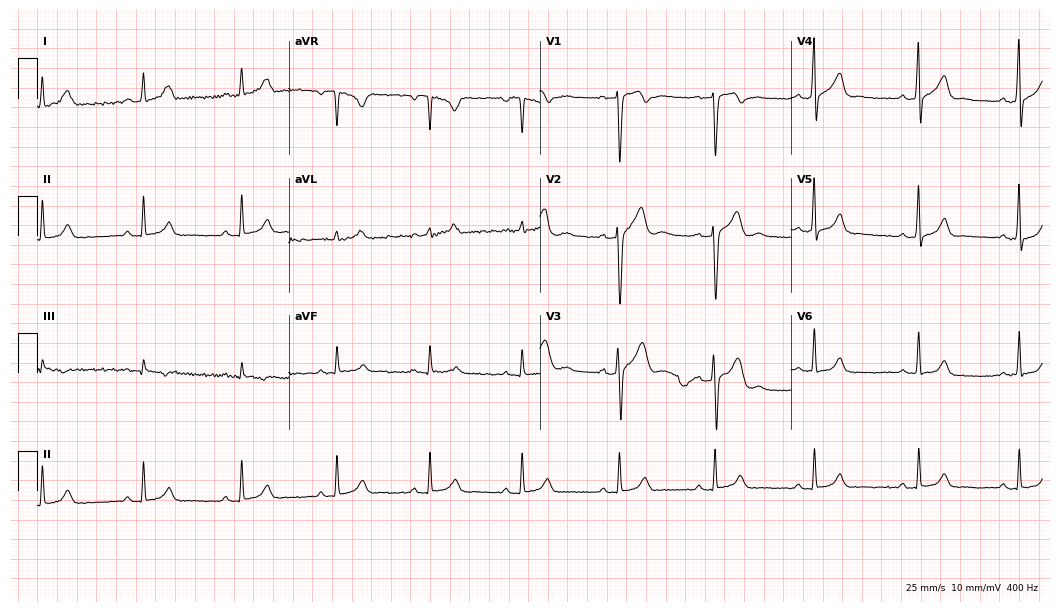
12-lead ECG (10.2-second recording at 400 Hz) from a male patient, 29 years old. Screened for six findings — first-degree AV block, right bundle branch block, left bundle branch block, sinus bradycardia, atrial fibrillation, sinus tachycardia — none is recorded. Findings outside these six are not listed.